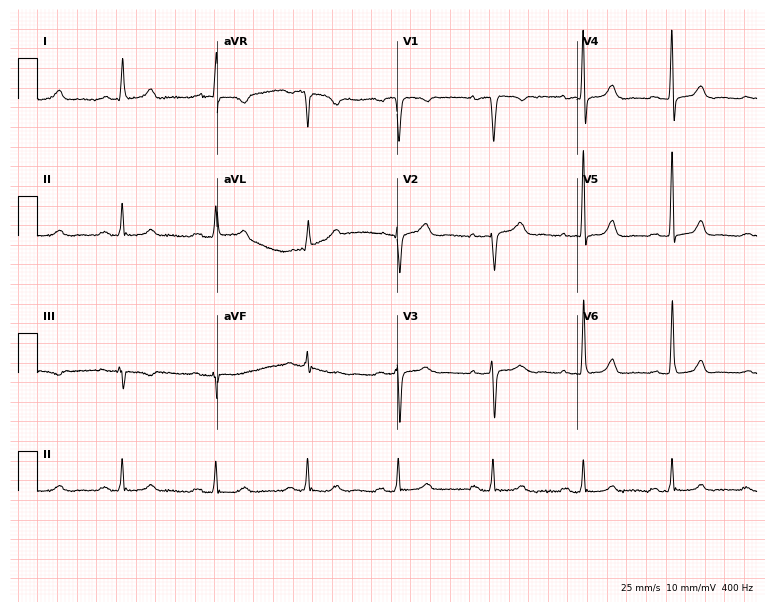
12-lead ECG from a female patient, 60 years old. Screened for six findings — first-degree AV block, right bundle branch block, left bundle branch block, sinus bradycardia, atrial fibrillation, sinus tachycardia — none is recorded. Findings outside these six are not listed.